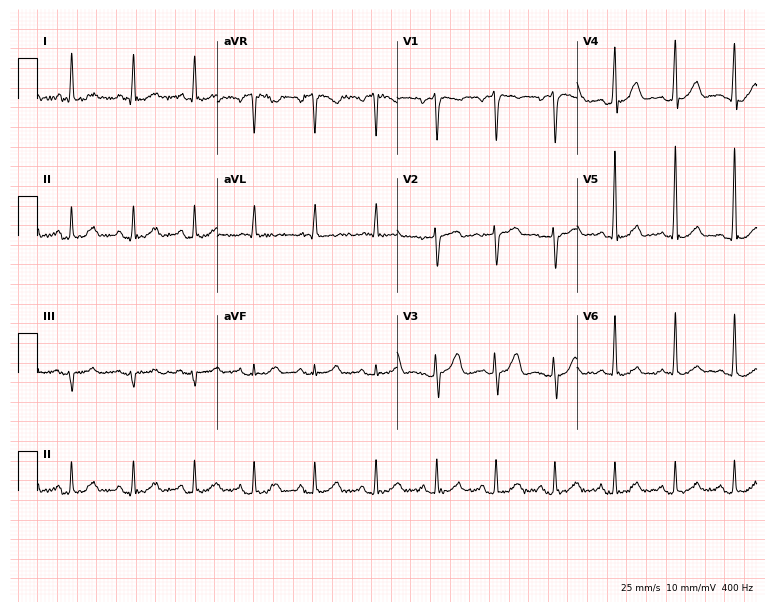
12-lead ECG from a male patient, 52 years old. Labelled as a normal ECG.